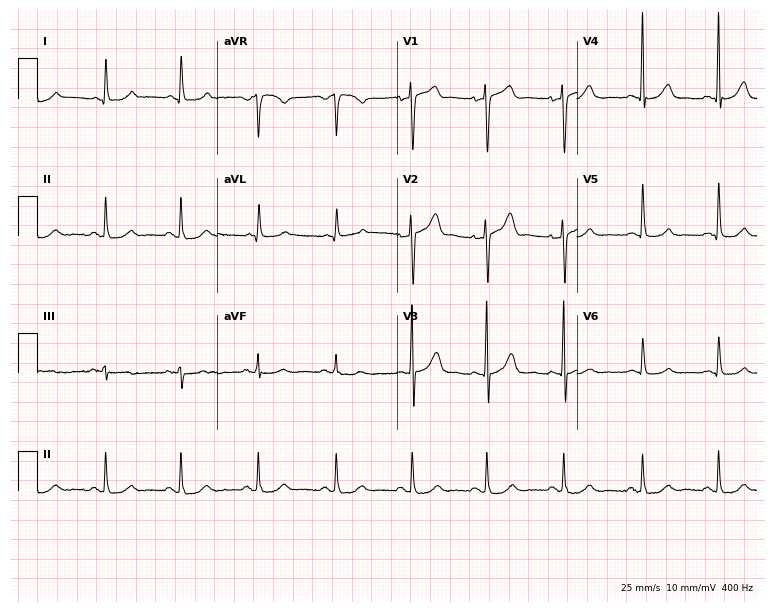
Resting 12-lead electrocardiogram. Patient: a man, 59 years old. Read as a normal ECG.